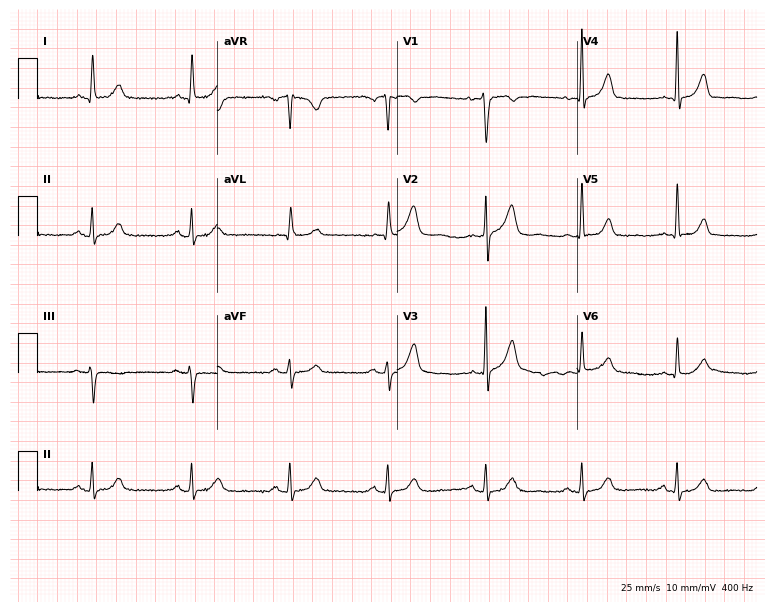
Electrocardiogram, a male, 80 years old. Of the six screened findings (first-degree AV block, right bundle branch block, left bundle branch block, sinus bradycardia, atrial fibrillation, sinus tachycardia), none is recorded. Only these six findings were labelled.